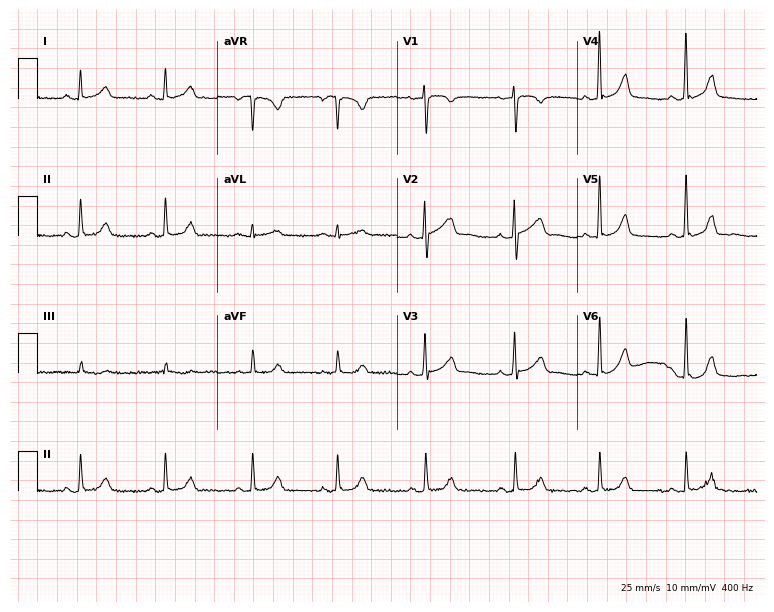
12-lead ECG from a 46-year-old female patient. Screened for six findings — first-degree AV block, right bundle branch block, left bundle branch block, sinus bradycardia, atrial fibrillation, sinus tachycardia — none is recorded. Findings outside these six are not listed.